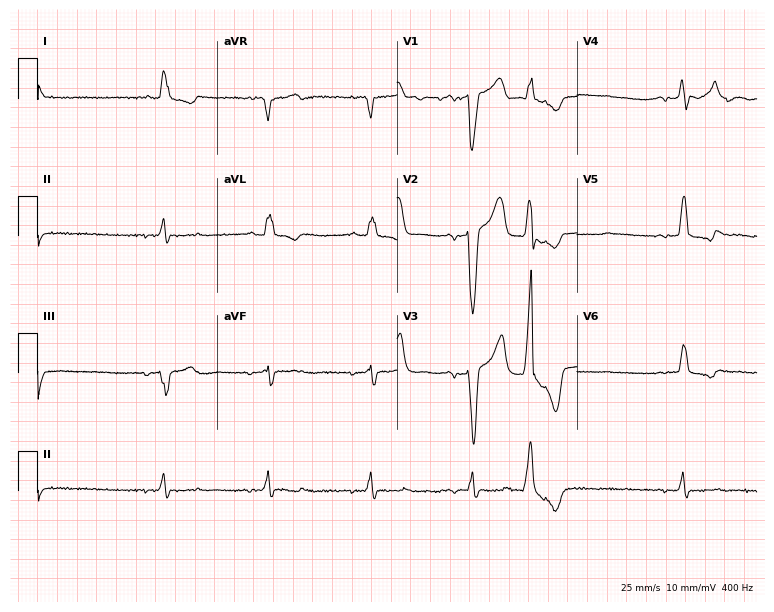
Standard 12-lead ECG recorded from a male, 85 years old (7.3-second recording at 400 Hz). The tracing shows left bundle branch block (LBBB).